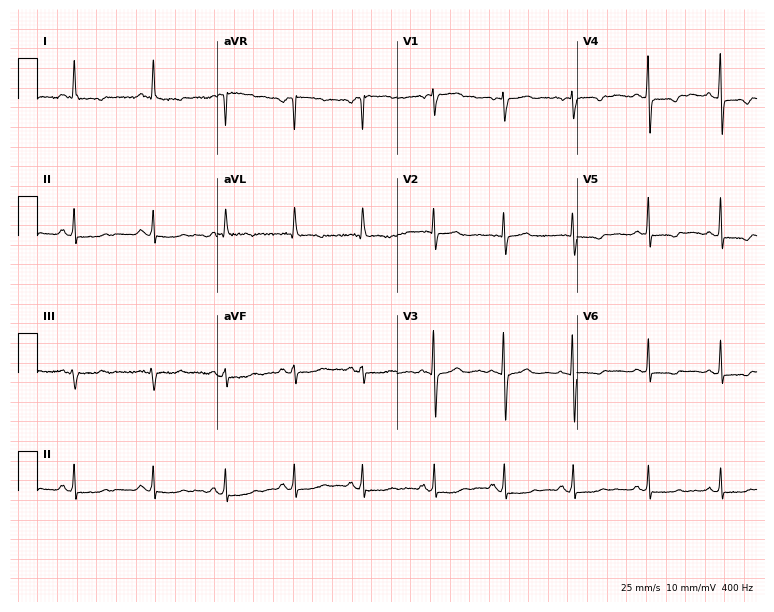
12-lead ECG from a woman, 80 years old (7.3-second recording at 400 Hz). No first-degree AV block, right bundle branch block (RBBB), left bundle branch block (LBBB), sinus bradycardia, atrial fibrillation (AF) or sinus tachycardia recorded for this tracing. Only these six findings were labelled.